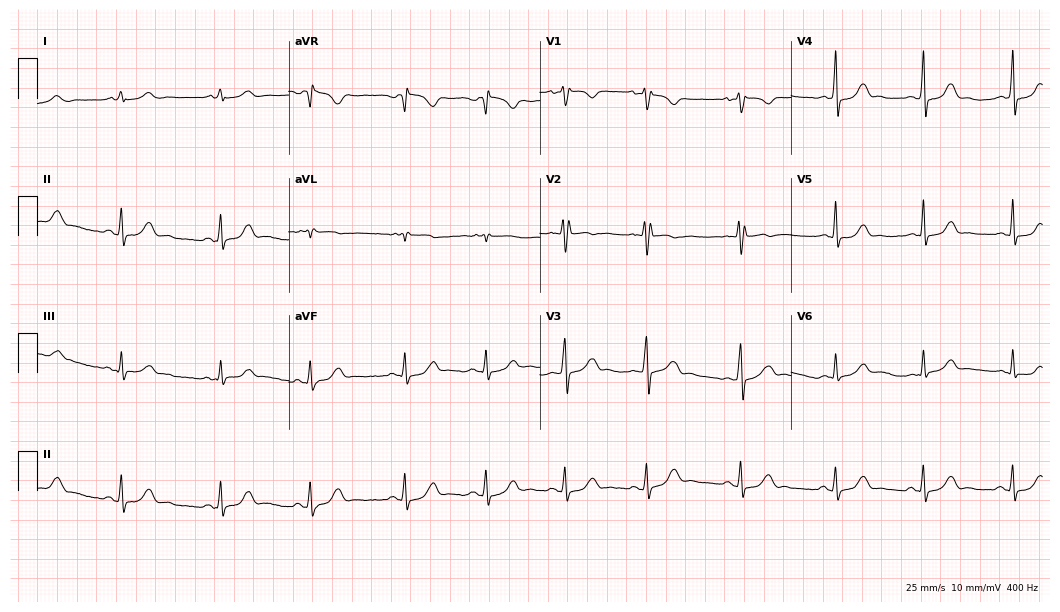
12-lead ECG from a woman, 20 years old (10.2-second recording at 400 Hz). No first-degree AV block, right bundle branch block, left bundle branch block, sinus bradycardia, atrial fibrillation or sinus tachycardia recorded for this tracing.